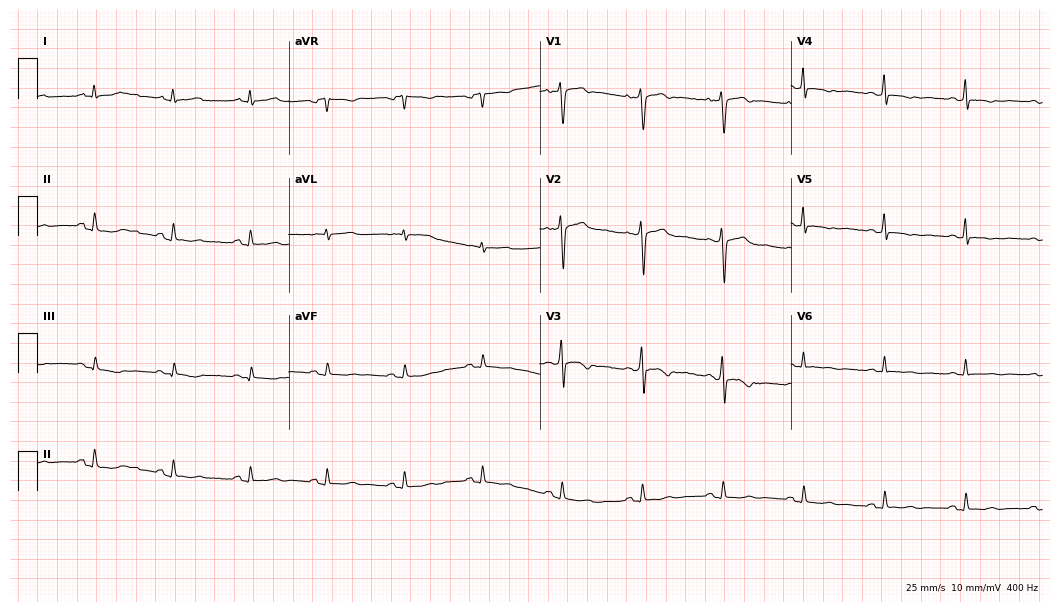
Electrocardiogram (10.2-second recording at 400 Hz), a 37-year-old female patient. Of the six screened findings (first-degree AV block, right bundle branch block (RBBB), left bundle branch block (LBBB), sinus bradycardia, atrial fibrillation (AF), sinus tachycardia), none is recorded.